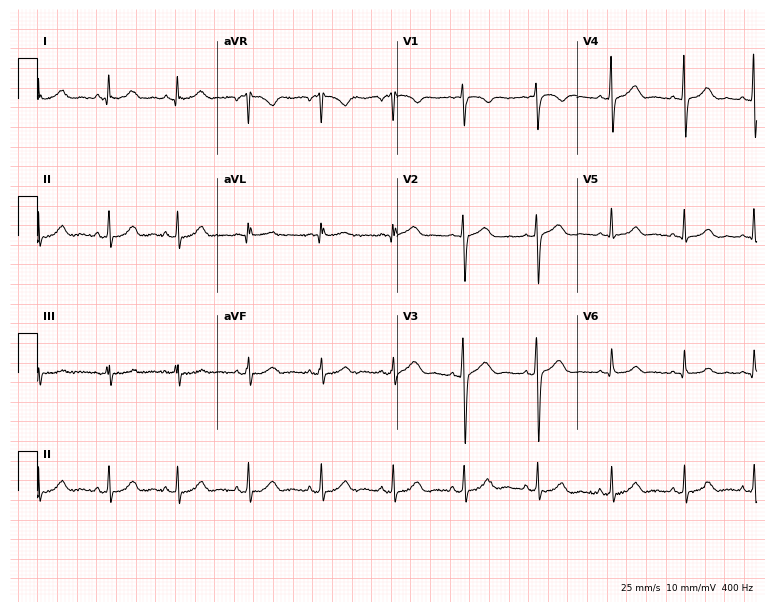
Electrocardiogram (7.3-second recording at 400 Hz), a female patient, 35 years old. Overall reading on record: normal ECG.